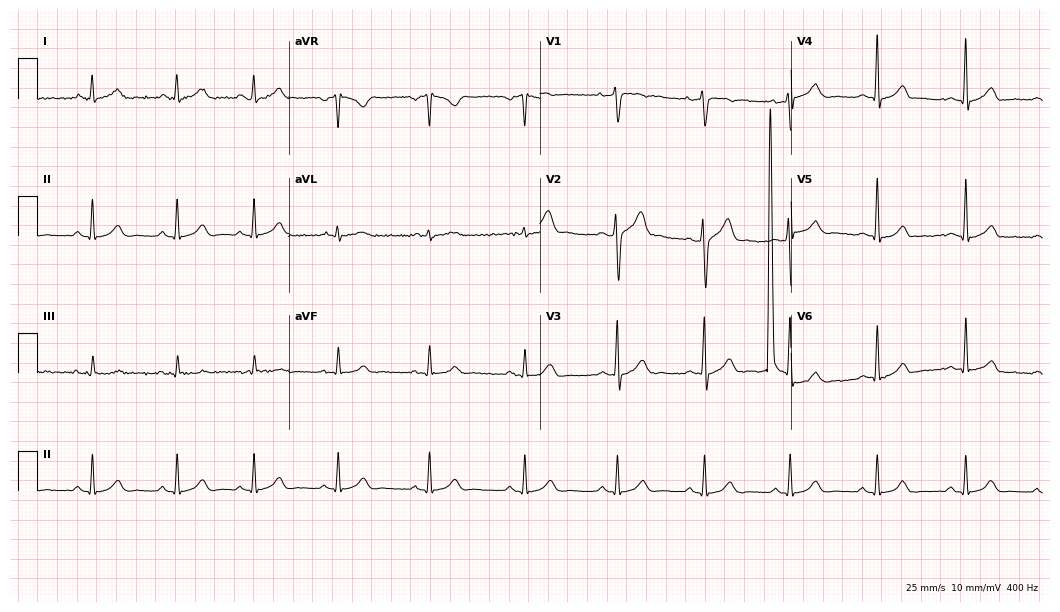
Standard 12-lead ECG recorded from a 38-year-old male patient. None of these six findings is recorded: first-degree AV block, right bundle branch block (RBBB), left bundle branch block (LBBB), sinus bradycardia, atrial fibrillation (AF), sinus tachycardia.